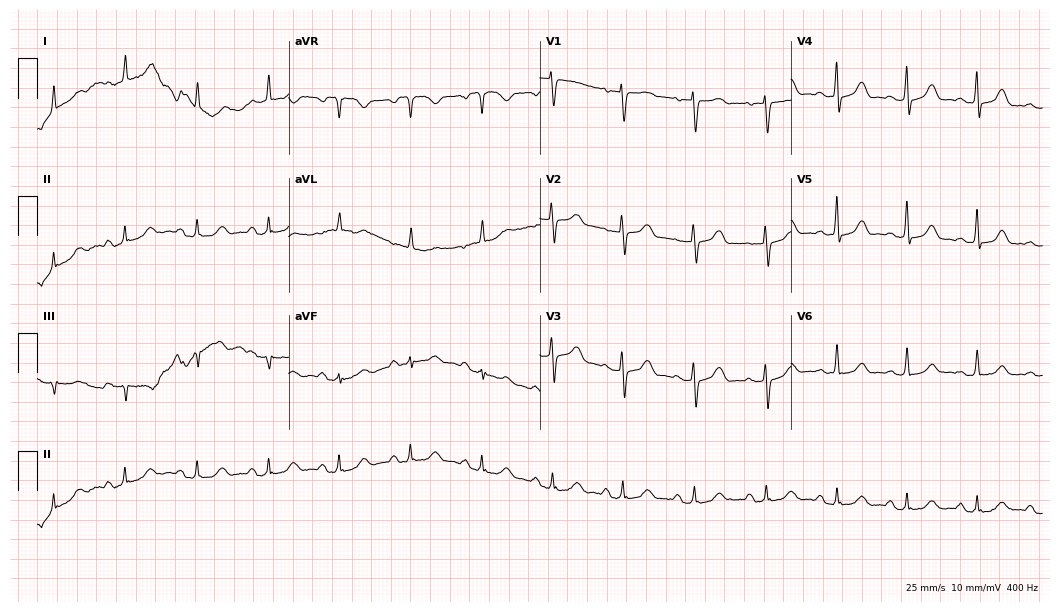
12-lead ECG from a 73-year-old female. Screened for six findings — first-degree AV block, right bundle branch block, left bundle branch block, sinus bradycardia, atrial fibrillation, sinus tachycardia — none is recorded.